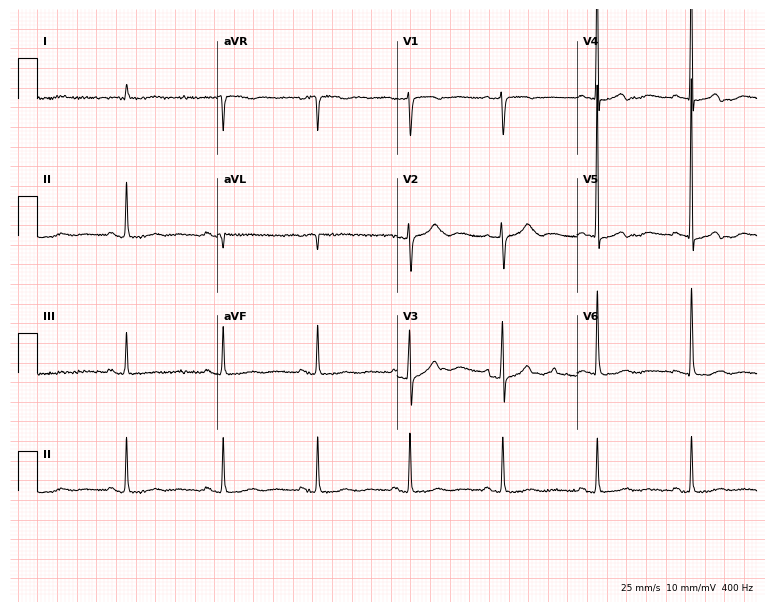
12-lead ECG from an 85-year-old female (7.3-second recording at 400 Hz). No first-degree AV block, right bundle branch block (RBBB), left bundle branch block (LBBB), sinus bradycardia, atrial fibrillation (AF) or sinus tachycardia recorded for this tracing.